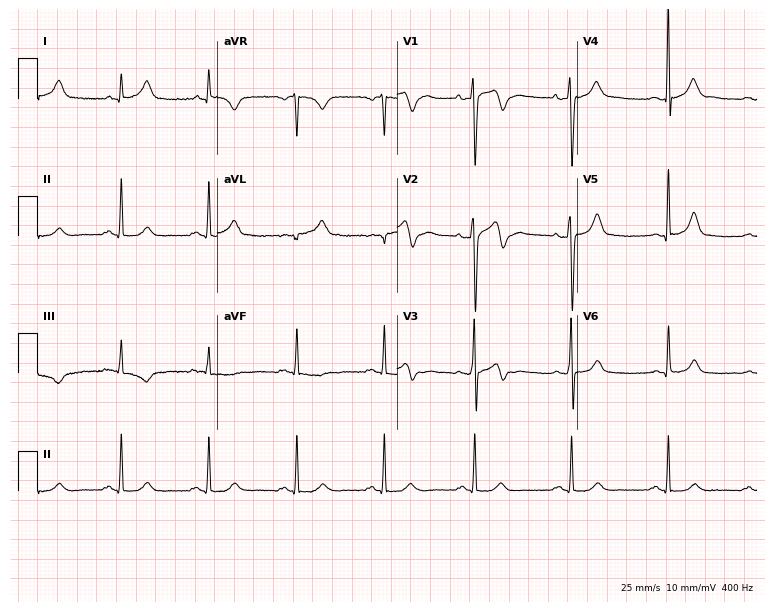
Electrocardiogram (7.3-second recording at 400 Hz), a male, 43 years old. Of the six screened findings (first-degree AV block, right bundle branch block, left bundle branch block, sinus bradycardia, atrial fibrillation, sinus tachycardia), none is recorded.